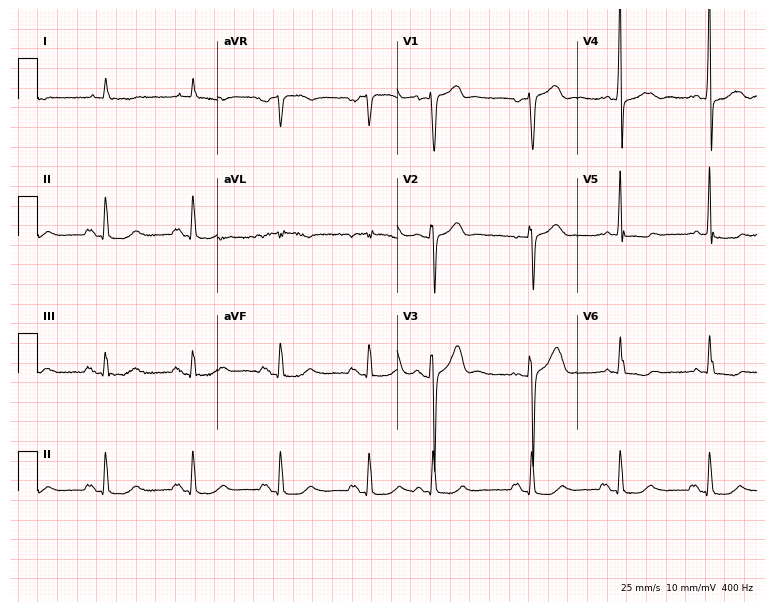
ECG — a male patient, 70 years old. Screened for six findings — first-degree AV block, right bundle branch block, left bundle branch block, sinus bradycardia, atrial fibrillation, sinus tachycardia — none is recorded.